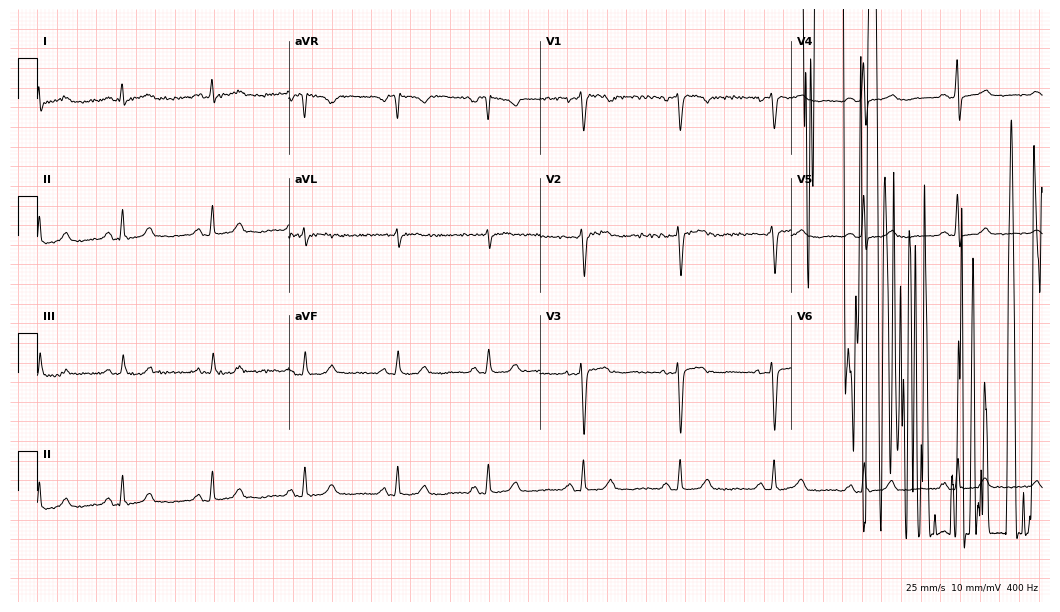
ECG — a 49-year-old female. Screened for six findings — first-degree AV block, right bundle branch block, left bundle branch block, sinus bradycardia, atrial fibrillation, sinus tachycardia — none is recorded. Only these six findings were labelled.